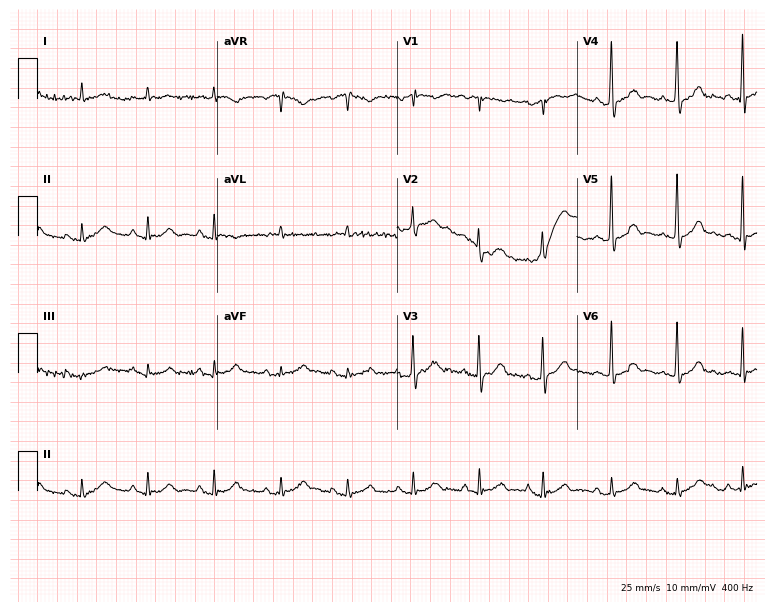
12-lead ECG from a man, 74 years old. Screened for six findings — first-degree AV block, right bundle branch block, left bundle branch block, sinus bradycardia, atrial fibrillation, sinus tachycardia — none is recorded.